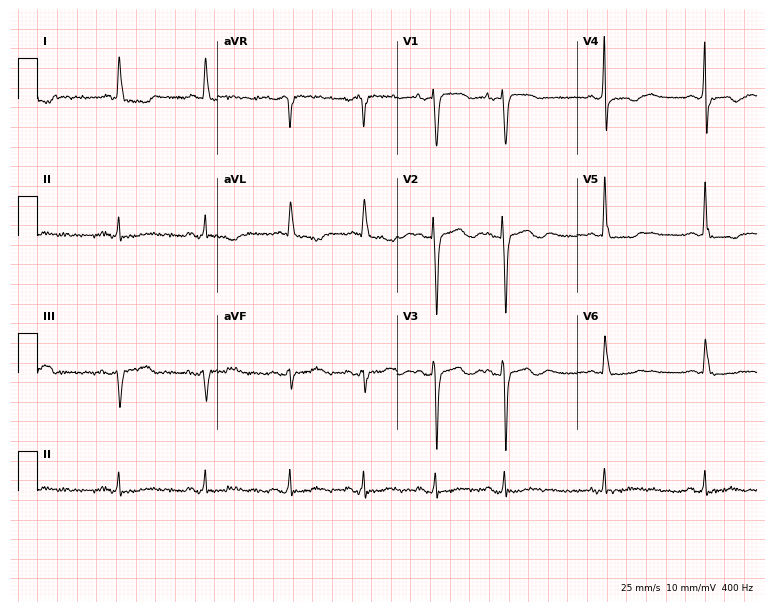
ECG — an 82-year-old woman. Labelled as a normal ECG.